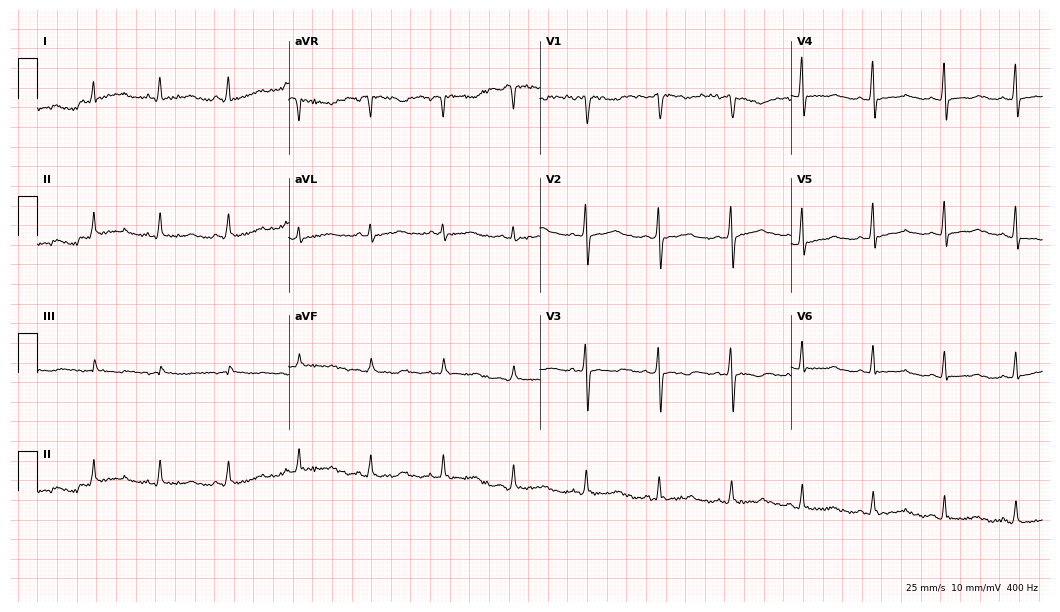
Resting 12-lead electrocardiogram (10.2-second recording at 400 Hz). Patient: a female, 36 years old. Read as a normal ECG.